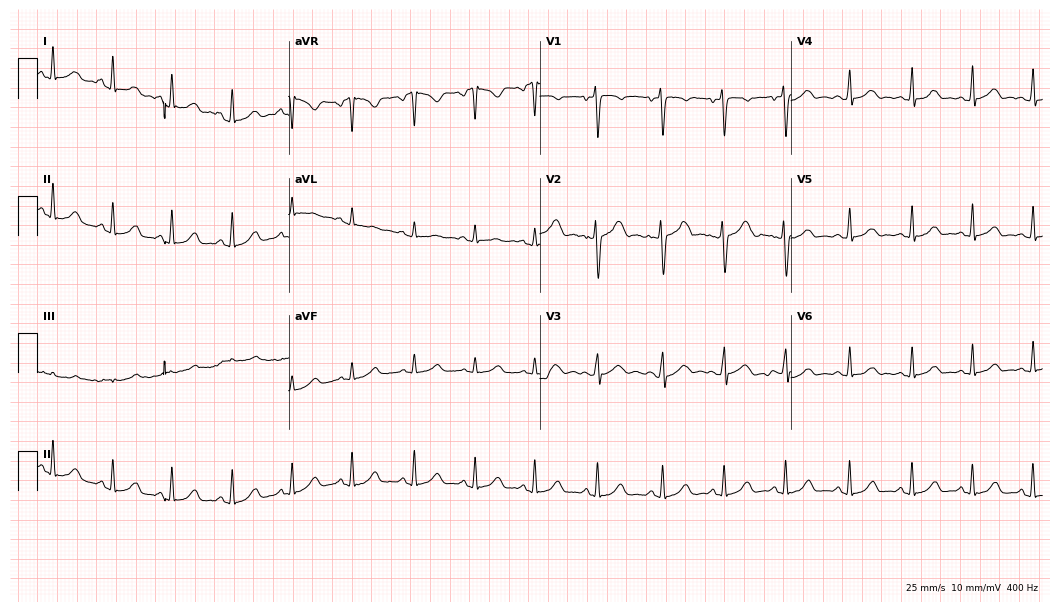
Electrocardiogram (10.2-second recording at 400 Hz), a female patient, 21 years old. Of the six screened findings (first-degree AV block, right bundle branch block (RBBB), left bundle branch block (LBBB), sinus bradycardia, atrial fibrillation (AF), sinus tachycardia), none is recorded.